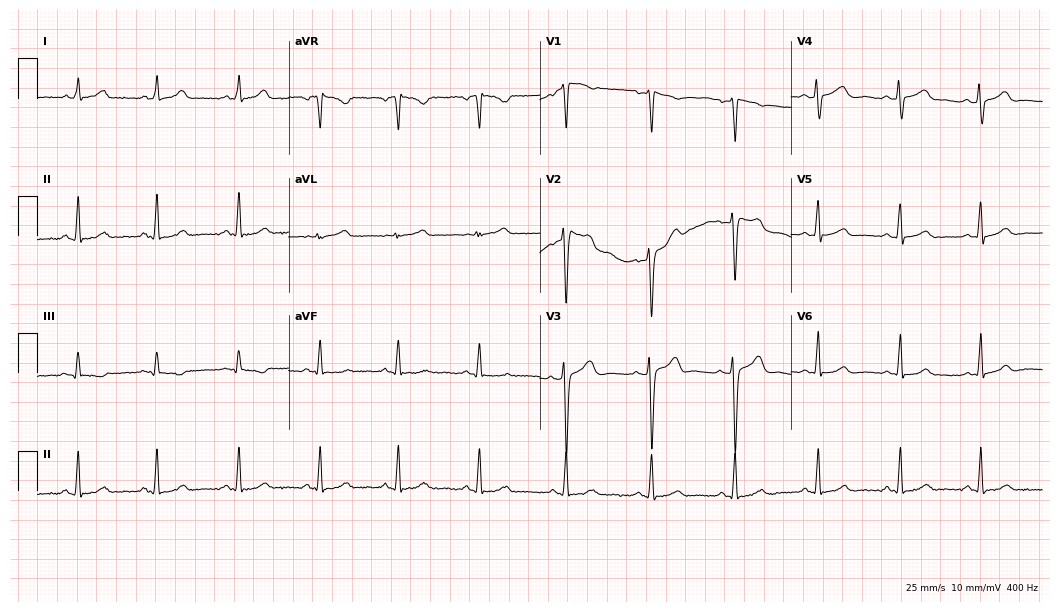
Electrocardiogram, a female, 35 years old. Overall reading on record: normal ECG.